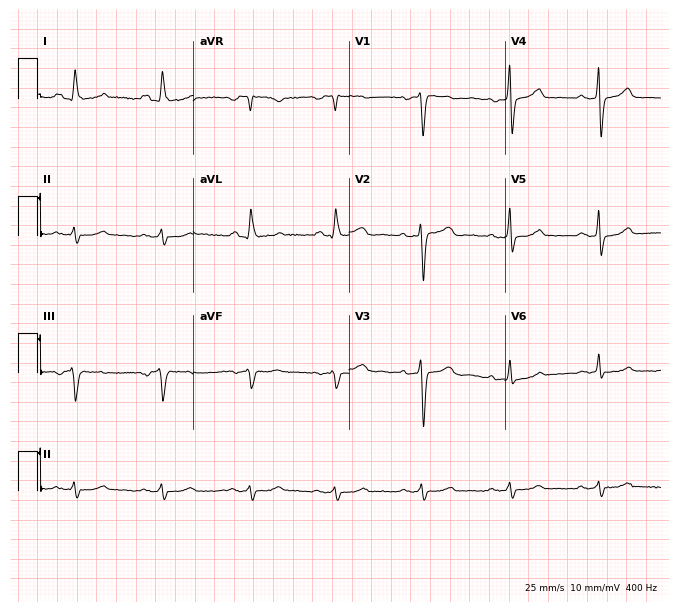
Standard 12-lead ECG recorded from a 59-year-old woman. None of these six findings is recorded: first-degree AV block, right bundle branch block, left bundle branch block, sinus bradycardia, atrial fibrillation, sinus tachycardia.